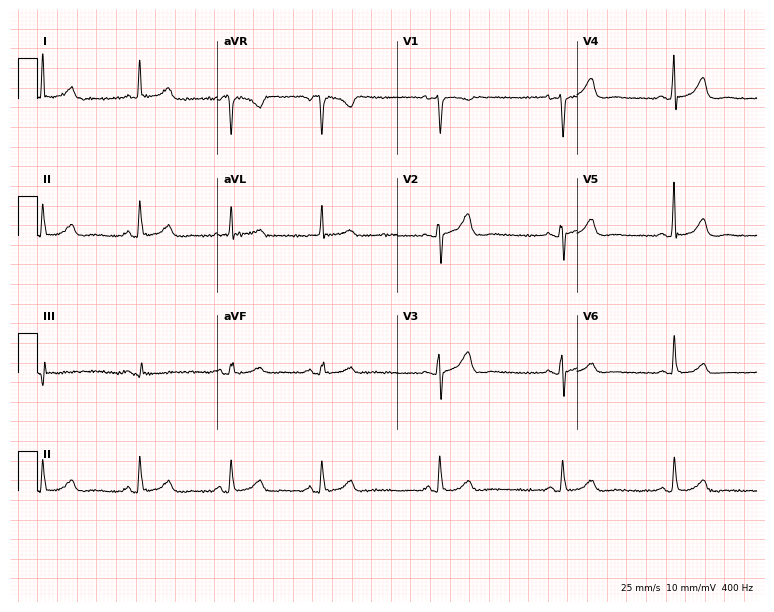
Standard 12-lead ECG recorded from a 59-year-old female. None of these six findings is recorded: first-degree AV block, right bundle branch block, left bundle branch block, sinus bradycardia, atrial fibrillation, sinus tachycardia. Findings outside these six are not listed.